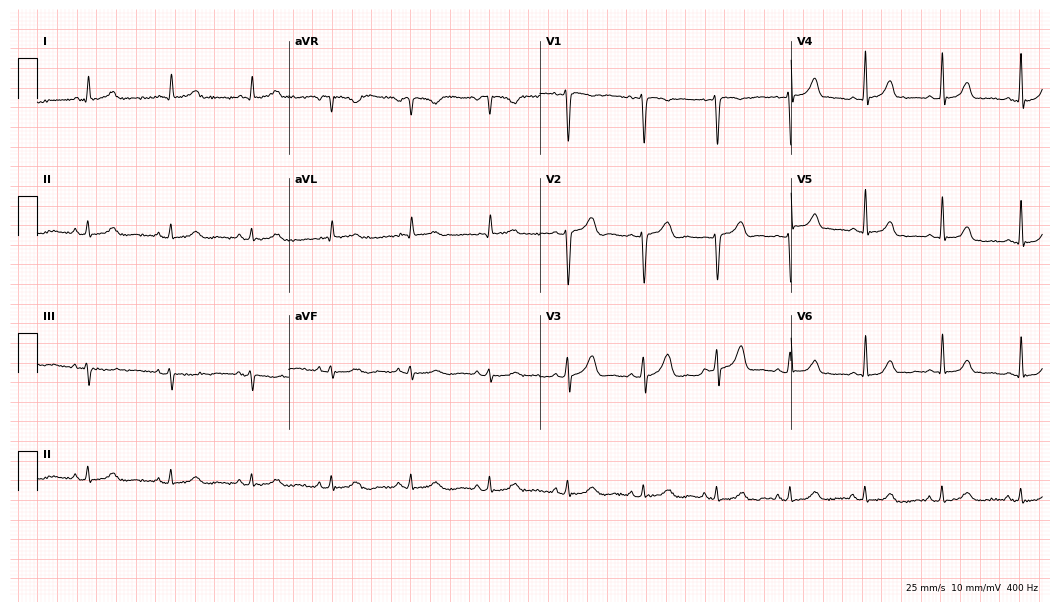
Standard 12-lead ECG recorded from a woman, 39 years old (10.2-second recording at 400 Hz). Read as a normal ECG.